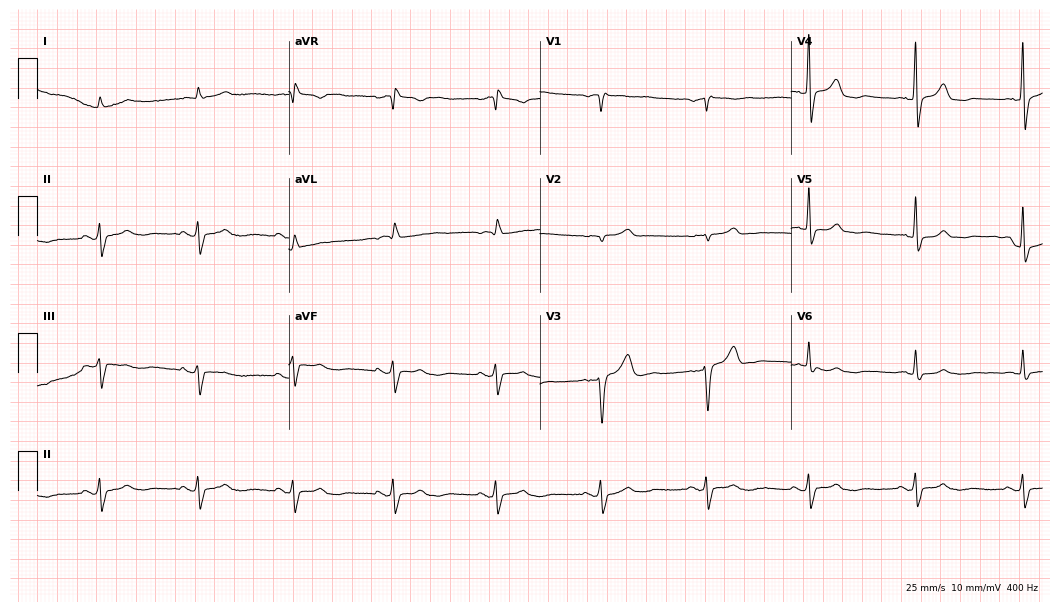
ECG (10.2-second recording at 400 Hz) — a man, 73 years old. Screened for six findings — first-degree AV block, right bundle branch block, left bundle branch block, sinus bradycardia, atrial fibrillation, sinus tachycardia — none is recorded.